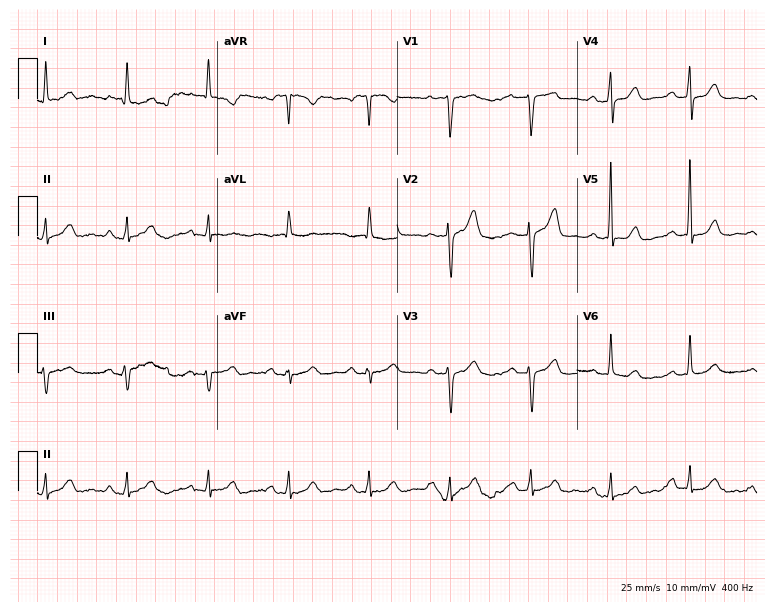
12-lead ECG from a 78-year-old female (7.3-second recording at 400 Hz). No first-degree AV block, right bundle branch block, left bundle branch block, sinus bradycardia, atrial fibrillation or sinus tachycardia recorded for this tracing.